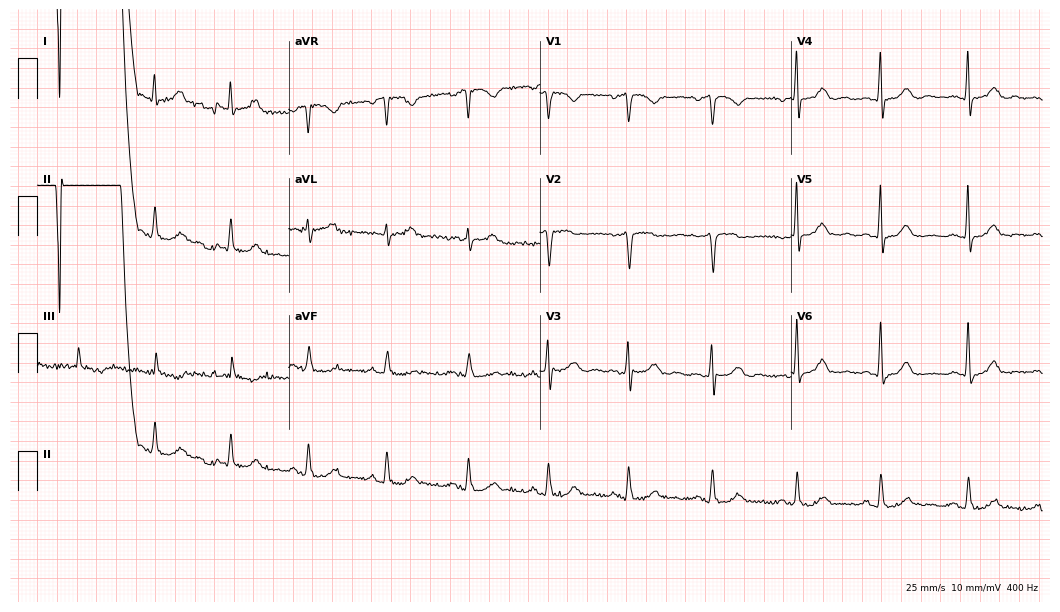
Resting 12-lead electrocardiogram (10.2-second recording at 400 Hz). Patient: a 62-year-old male. Read as a normal ECG.